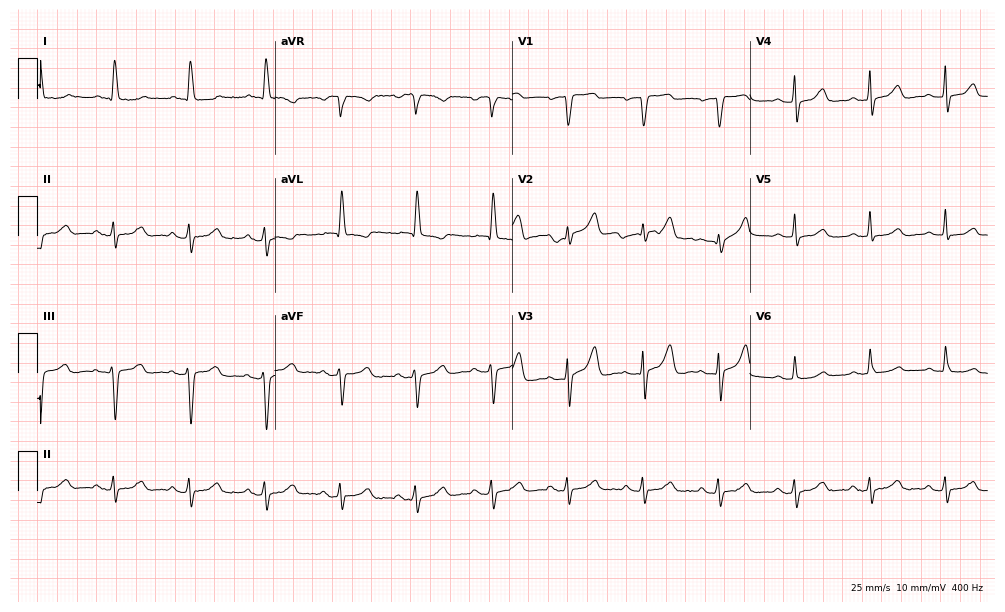
ECG (9.7-second recording at 400 Hz) — a female patient, 85 years old. Labelled as a normal ECG.